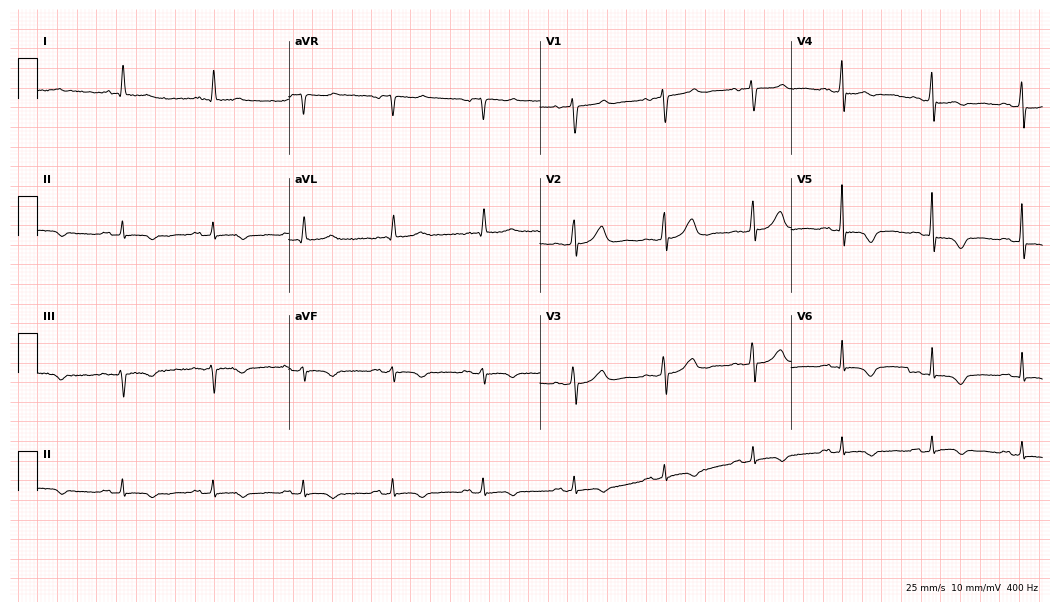
12-lead ECG from a 73-year-old female patient. Screened for six findings — first-degree AV block, right bundle branch block, left bundle branch block, sinus bradycardia, atrial fibrillation, sinus tachycardia — none is recorded.